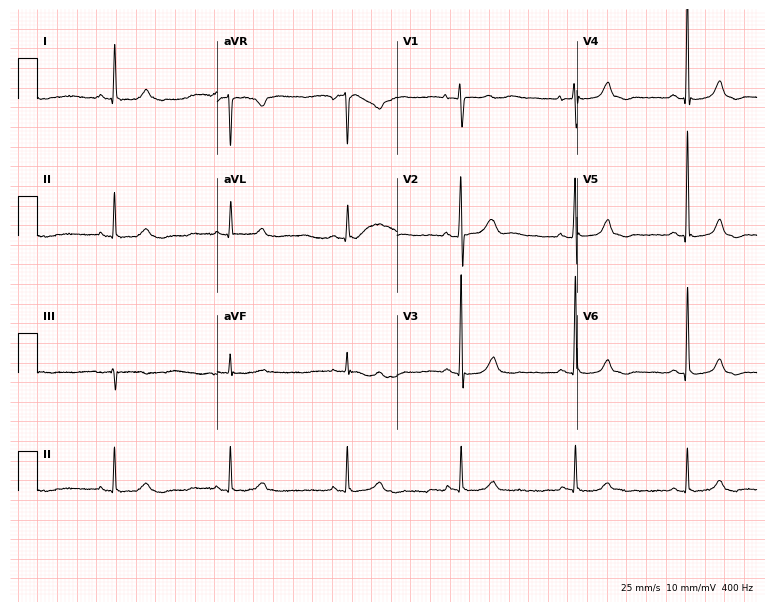
Electrocardiogram, a female patient, 72 years old. Of the six screened findings (first-degree AV block, right bundle branch block (RBBB), left bundle branch block (LBBB), sinus bradycardia, atrial fibrillation (AF), sinus tachycardia), none is recorded.